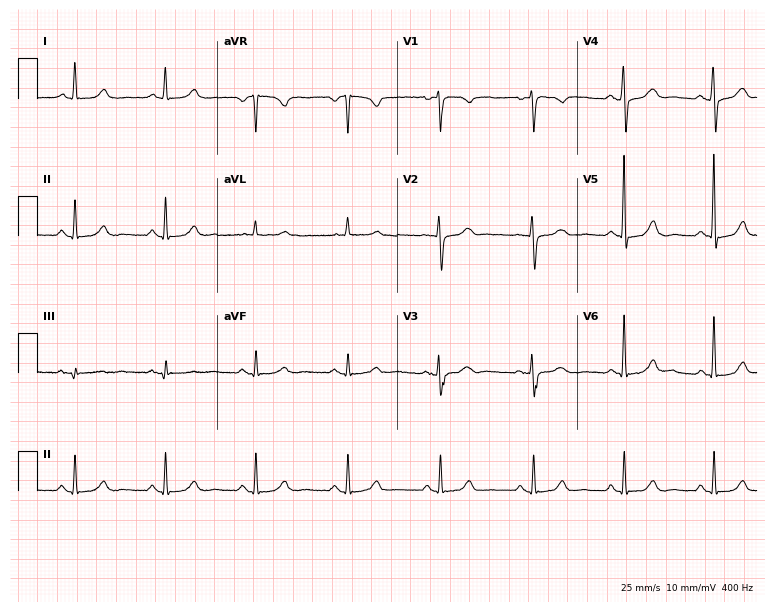
12-lead ECG from a 58-year-old woman. Recorded interpretation: within normal limits.